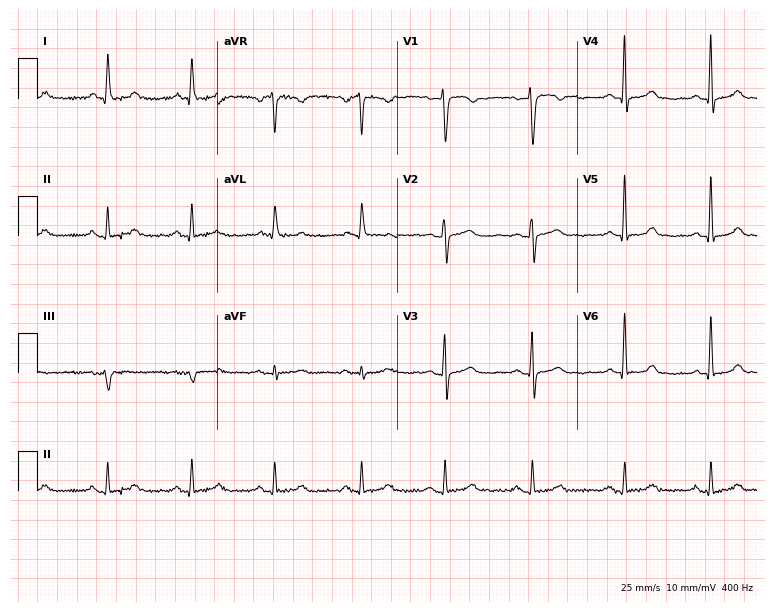
Standard 12-lead ECG recorded from a female patient, 54 years old (7.3-second recording at 400 Hz). None of these six findings is recorded: first-degree AV block, right bundle branch block (RBBB), left bundle branch block (LBBB), sinus bradycardia, atrial fibrillation (AF), sinus tachycardia.